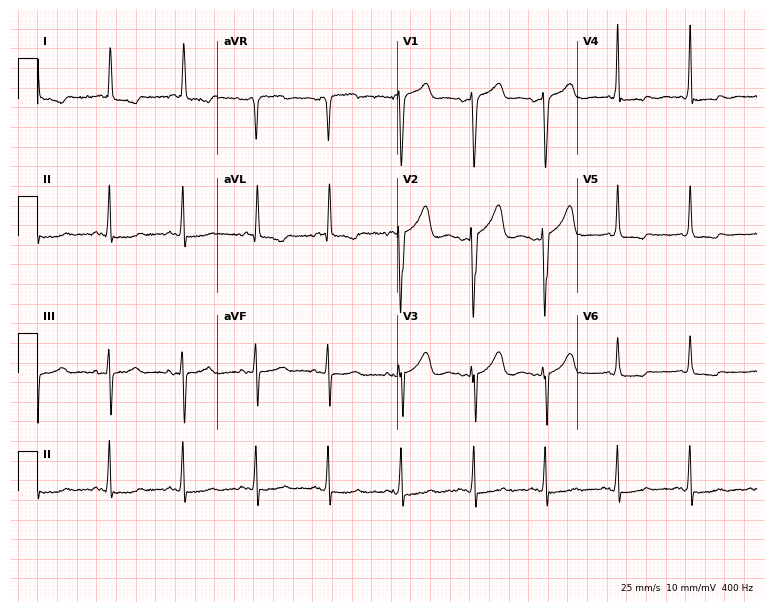
12-lead ECG from a woman, 81 years old. Screened for six findings — first-degree AV block, right bundle branch block, left bundle branch block, sinus bradycardia, atrial fibrillation, sinus tachycardia — none is recorded. Findings outside these six are not listed.